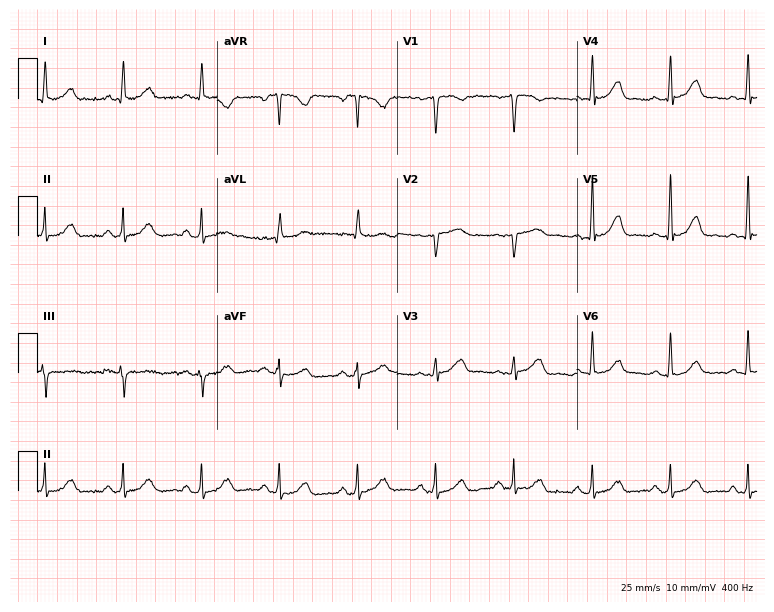
Resting 12-lead electrocardiogram. Patient: a female, 61 years old. None of these six findings is recorded: first-degree AV block, right bundle branch block, left bundle branch block, sinus bradycardia, atrial fibrillation, sinus tachycardia. Other findings, if any, are not listed.